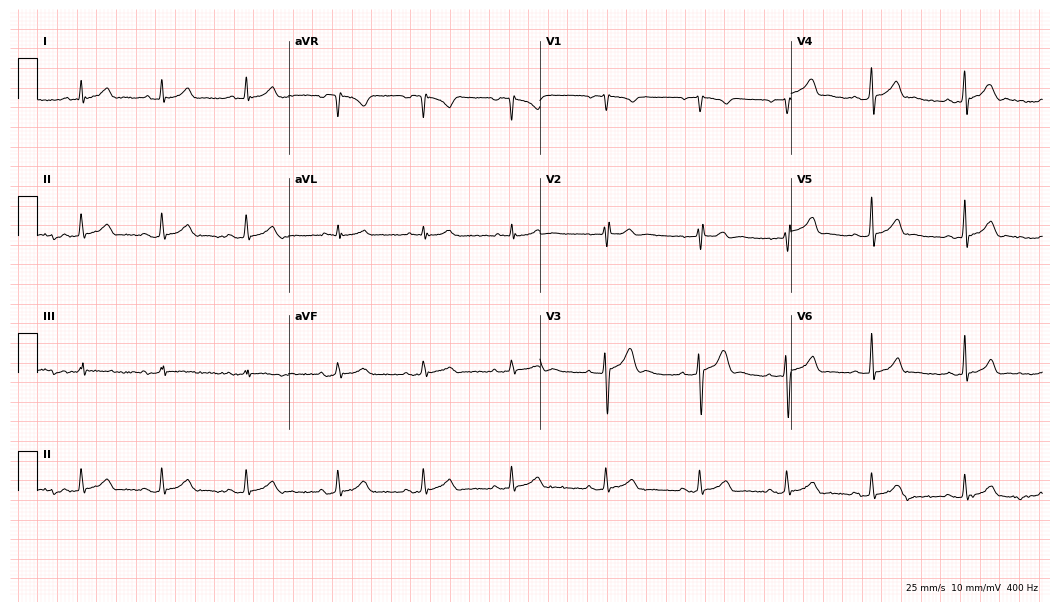
Electrocardiogram (10.2-second recording at 400 Hz), a male patient, 24 years old. Of the six screened findings (first-degree AV block, right bundle branch block (RBBB), left bundle branch block (LBBB), sinus bradycardia, atrial fibrillation (AF), sinus tachycardia), none is recorded.